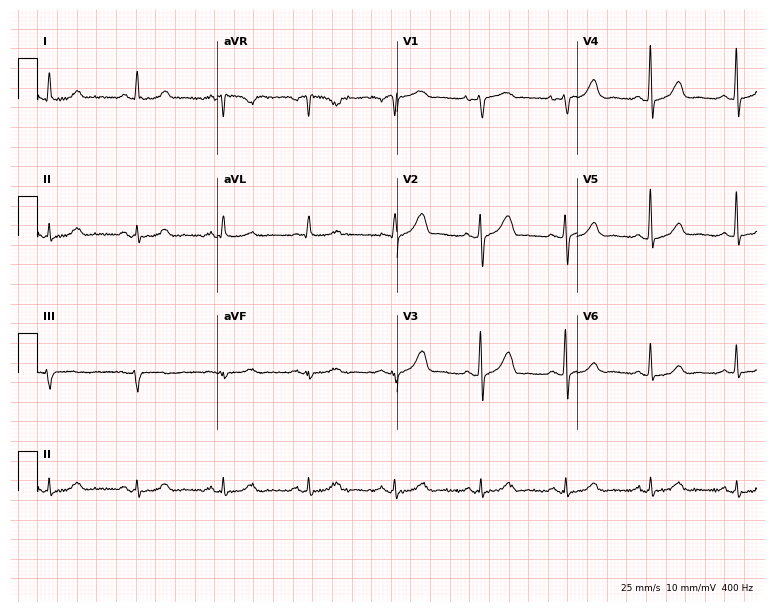
Standard 12-lead ECG recorded from a female patient, 61 years old. None of these six findings is recorded: first-degree AV block, right bundle branch block (RBBB), left bundle branch block (LBBB), sinus bradycardia, atrial fibrillation (AF), sinus tachycardia. Findings outside these six are not listed.